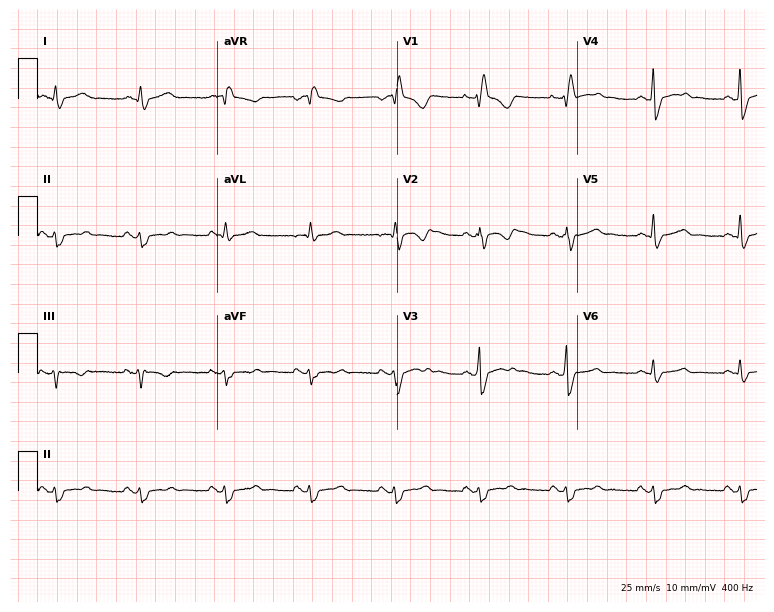
12-lead ECG from a woman, 50 years old. No first-degree AV block, right bundle branch block (RBBB), left bundle branch block (LBBB), sinus bradycardia, atrial fibrillation (AF) or sinus tachycardia recorded for this tracing.